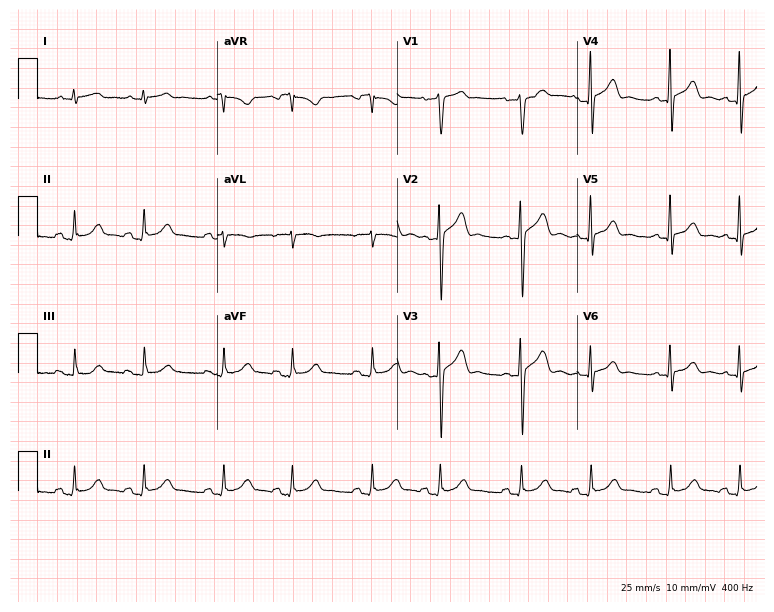
12-lead ECG from a 78-year-old male patient. Labelled as a normal ECG.